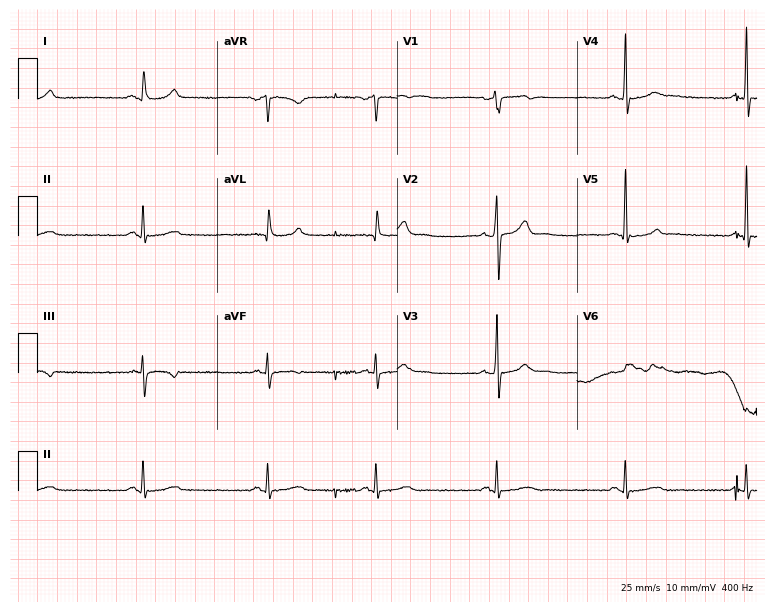
Resting 12-lead electrocardiogram (7.3-second recording at 400 Hz). Patient: a 40-year-old male. The tracing shows sinus bradycardia (a sinus rate of 50 beats per minute or less).